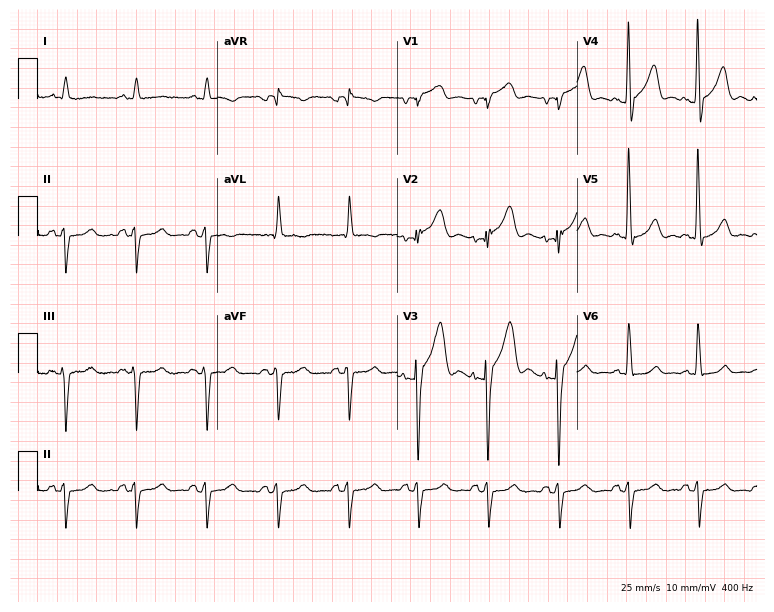
Electrocardiogram (7.3-second recording at 400 Hz), a 75-year-old male. Of the six screened findings (first-degree AV block, right bundle branch block (RBBB), left bundle branch block (LBBB), sinus bradycardia, atrial fibrillation (AF), sinus tachycardia), none is recorded.